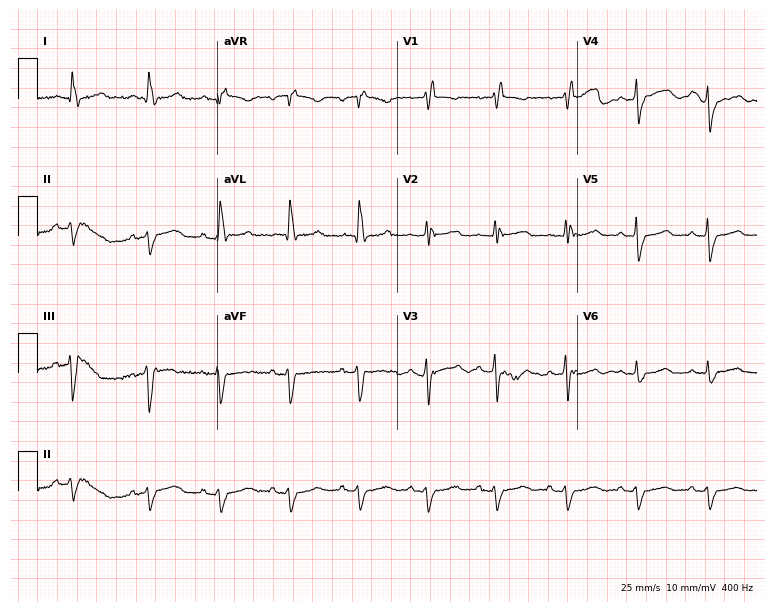
Electrocardiogram, a female patient, 74 years old. Interpretation includes right bundle branch block (RBBB).